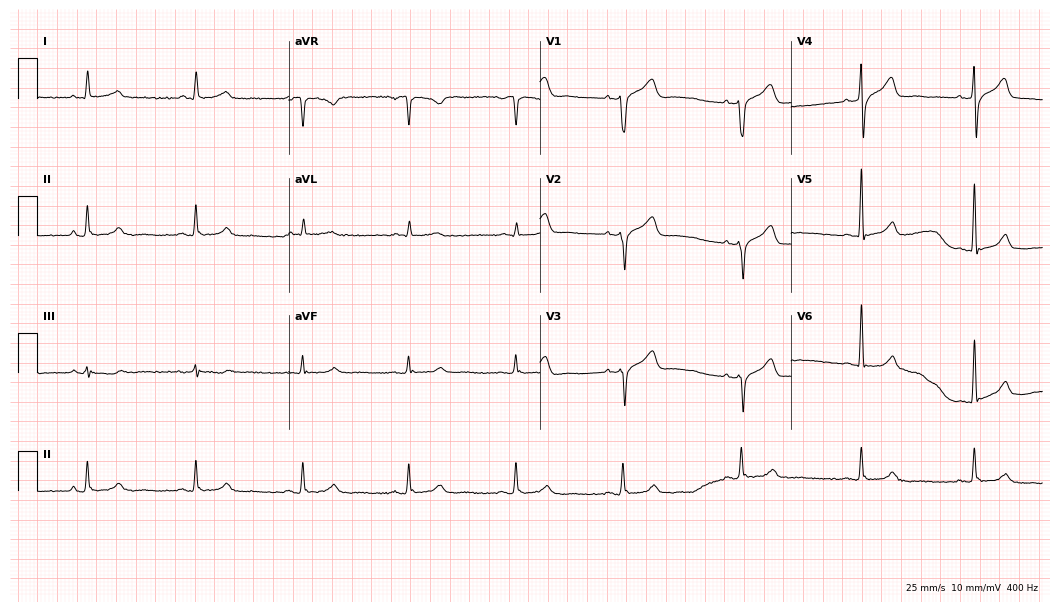
Electrocardiogram, a male patient, 75 years old. Of the six screened findings (first-degree AV block, right bundle branch block (RBBB), left bundle branch block (LBBB), sinus bradycardia, atrial fibrillation (AF), sinus tachycardia), none is recorded.